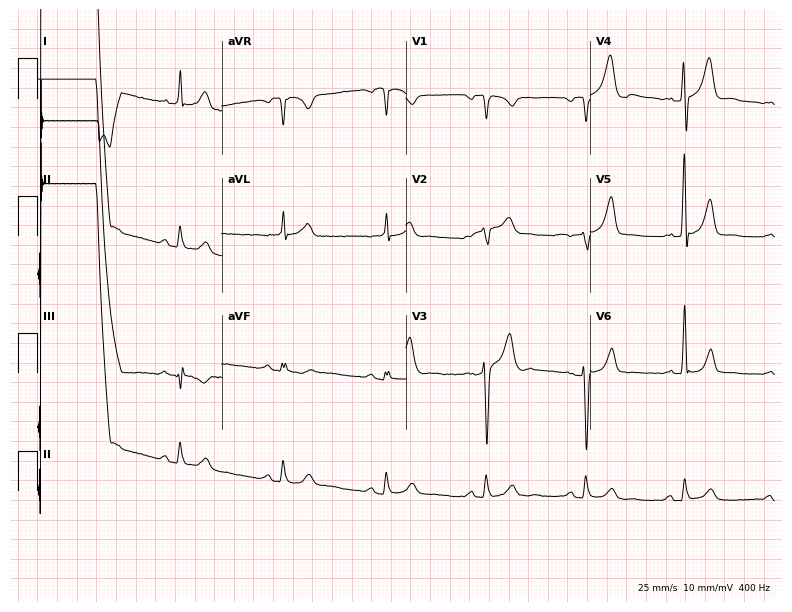
ECG (7.5-second recording at 400 Hz) — a male, 55 years old. Labelled as a normal ECG.